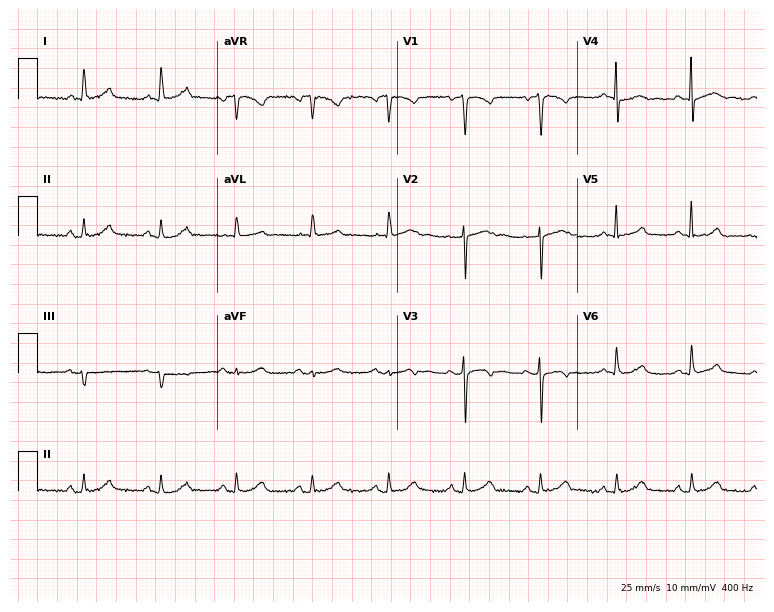
Resting 12-lead electrocardiogram (7.3-second recording at 400 Hz). Patient: a female, 68 years old. Read as a normal ECG.